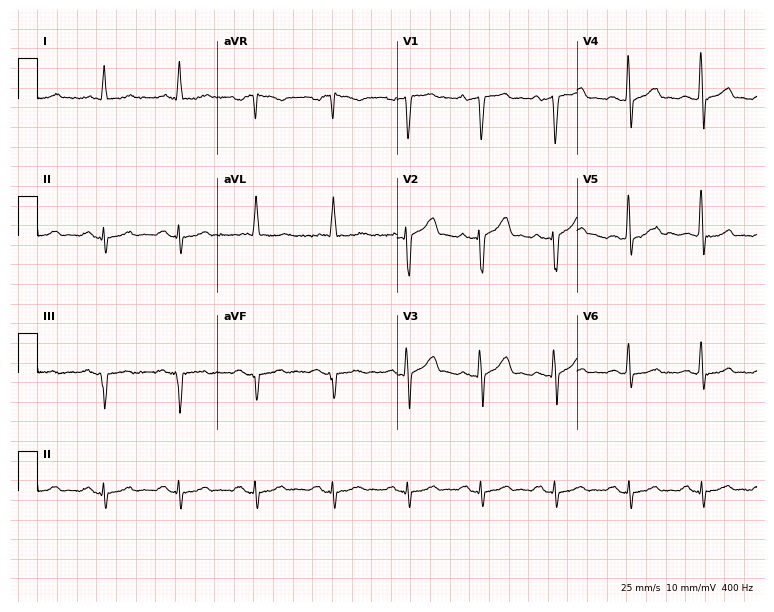
12-lead ECG from a 63-year-old male patient (7.3-second recording at 400 Hz). No first-degree AV block, right bundle branch block (RBBB), left bundle branch block (LBBB), sinus bradycardia, atrial fibrillation (AF) or sinus tachycardia recorded for this tracing.